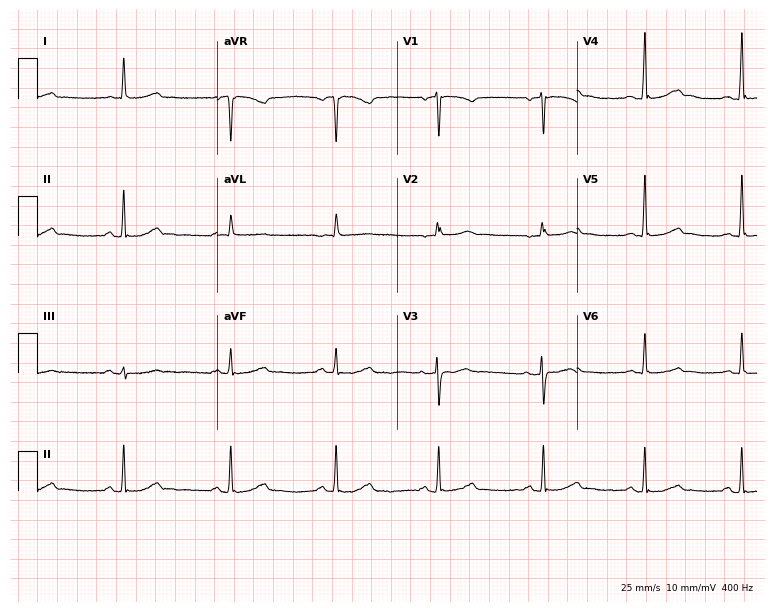
12-lead ECG from a female patient, 68 years old. Recorded interpretation: within normal limits.